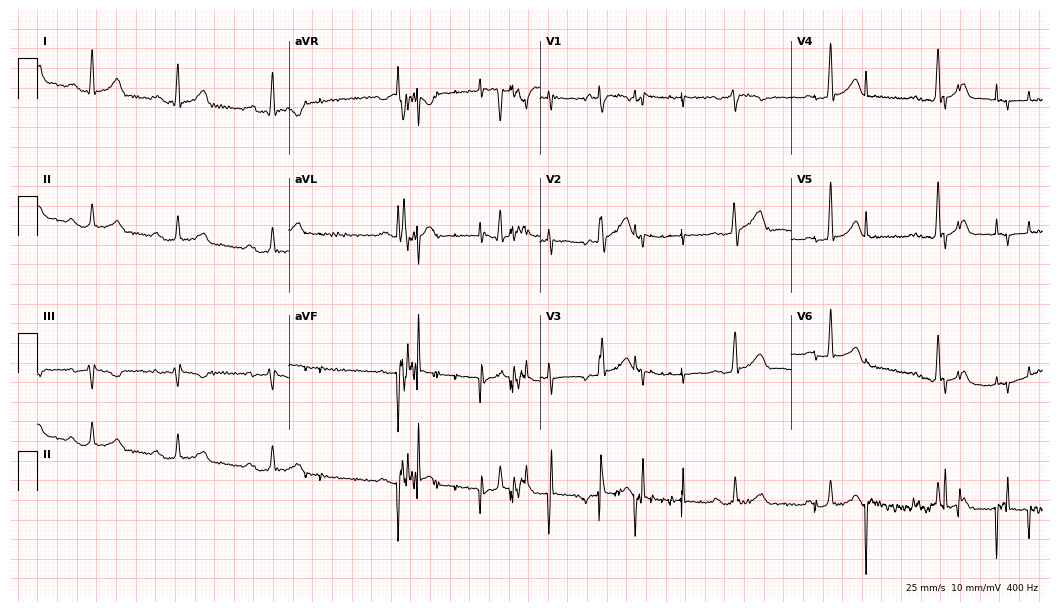
Resting 12-lead electrocardiogram. Patient: a male, 31 years old. None of these six findings is recorded: first-degree AV block, right bundle branch block, left bundle branch block, sinus bradycardia, atrial fibrillation, sinus tachycardia. Only these six findings were labelled.